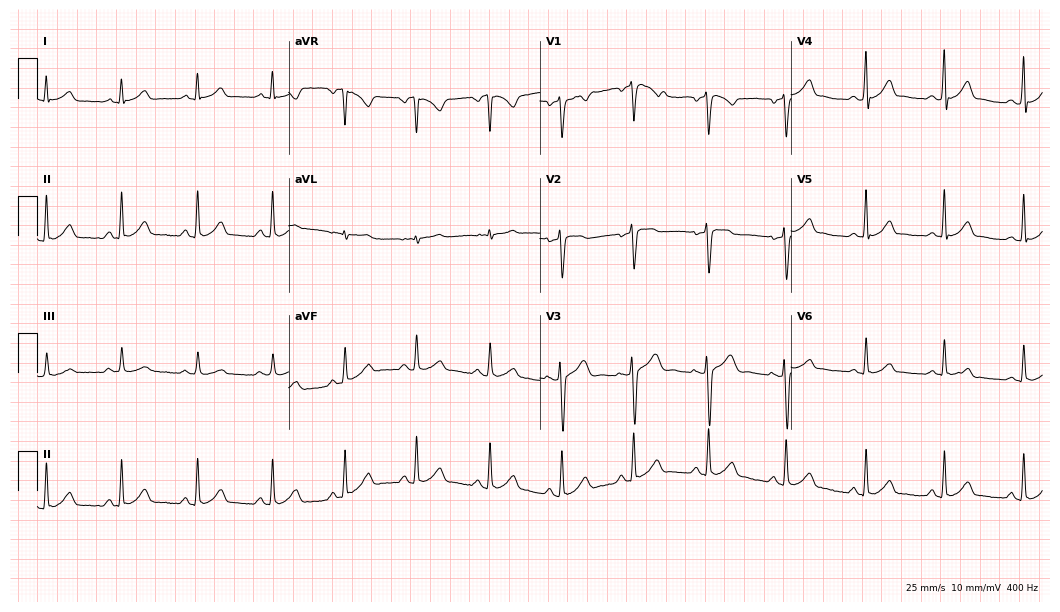
12-lead ECG (10.2-second recording at 400 Hz) from a female patient, 31 years old. Labelled as a normal ECG.